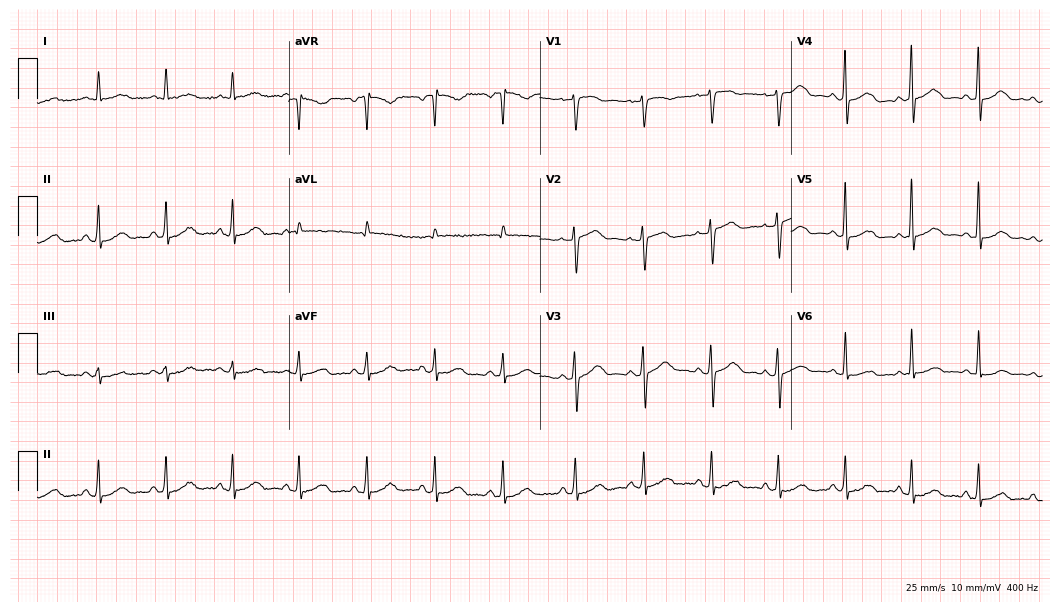
12-lead ECG from a female, 61 years old. Recorded interpretation: within normal limits.